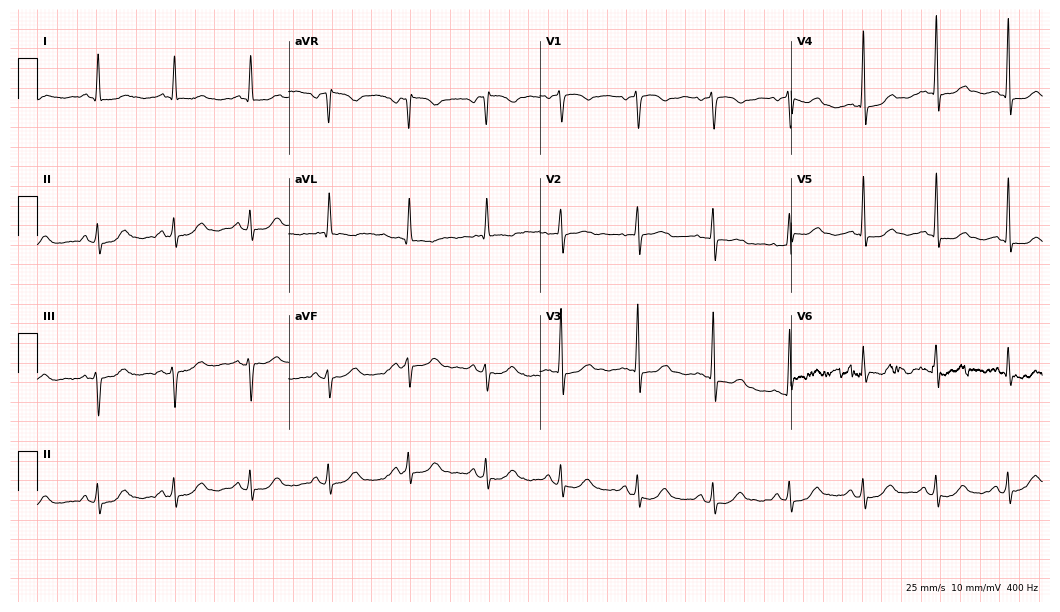
12-lead ECG from a 75-year-old woman (10.2-second recording at 400 Hz). Recorded interpretation: within normal limits.